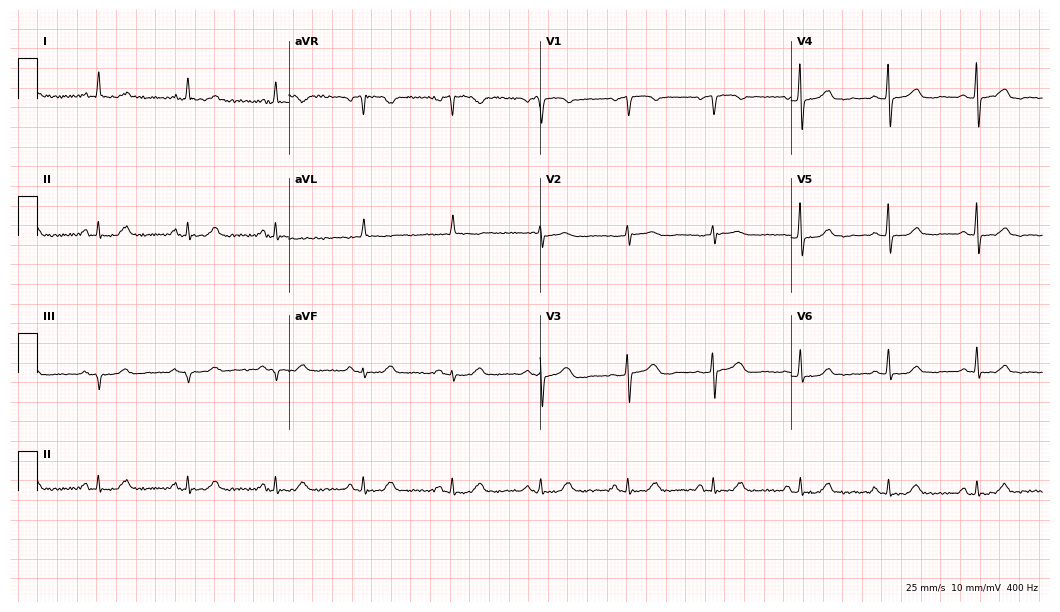
ECG — a 72-year-old woman. Screened for six findings — first-degree AV block, right bundle branch block, left bundle branch block, sinus bradycardia, atrial fibrillation, sinus tachycardia — none is recorded.